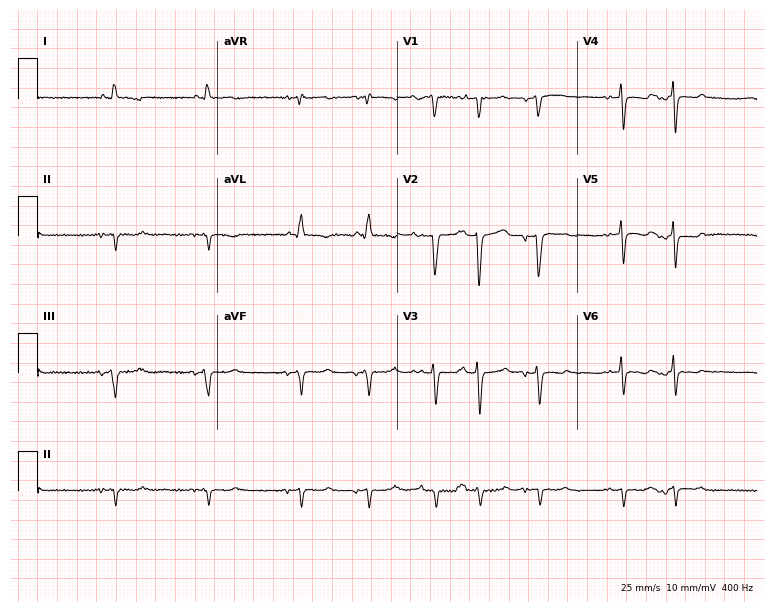
ECG — a 73-year-old male patient. Screened for six findings — first-degree AV block, right bundle branch block, left bundle branch block, sinus bradycardia, atrial fibrillation, sinus tachycardia — none is recorded.